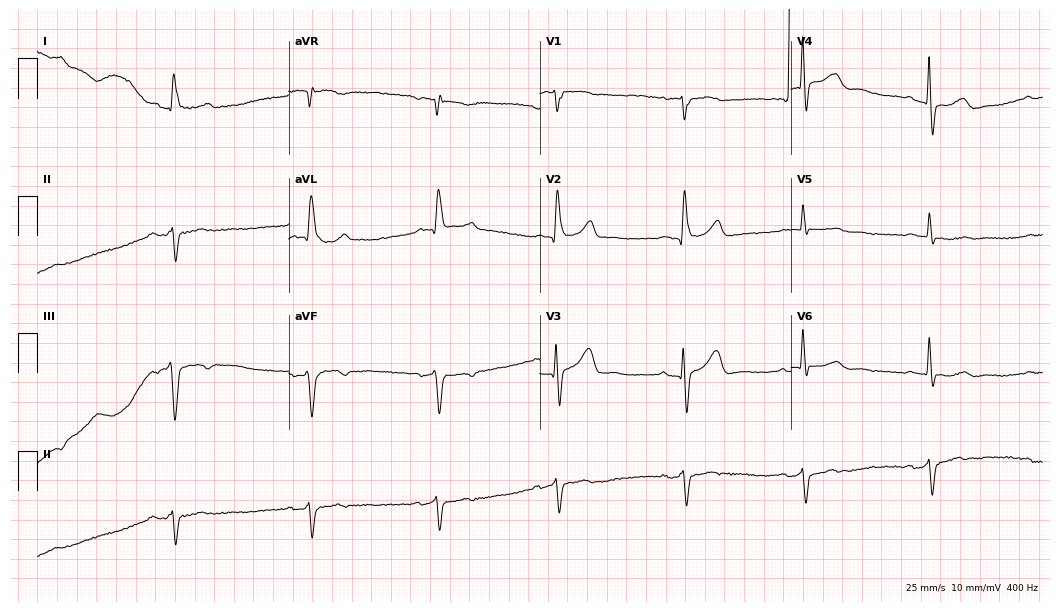
12-lead ECG from an 80-year-old male. Screened for six findings — first-degree AV block, right bundle branch block (RBBB), left bundle branch block (LBBB), sinus bradycardia, atrial fibrillation (AF), sinus tachycardia — none is recorded.